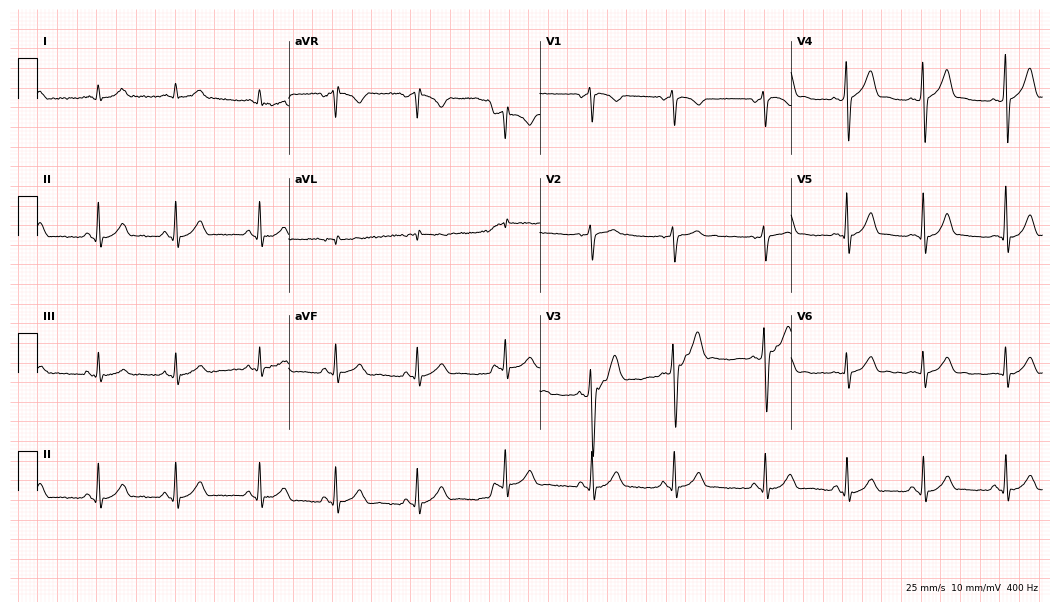
Standard 12-lead ECG recorded from a male patient, 20 years old. Read as a normal ECG.